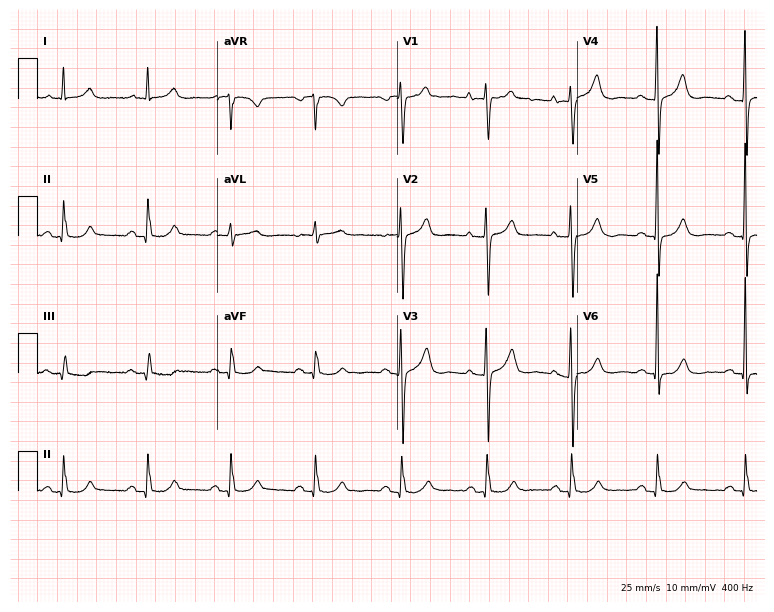
Resting 12-lead electrocardiogram (7.3-second recording at 400 Hz). Patient: a 78-year-old woman. Read as a normal ECG.